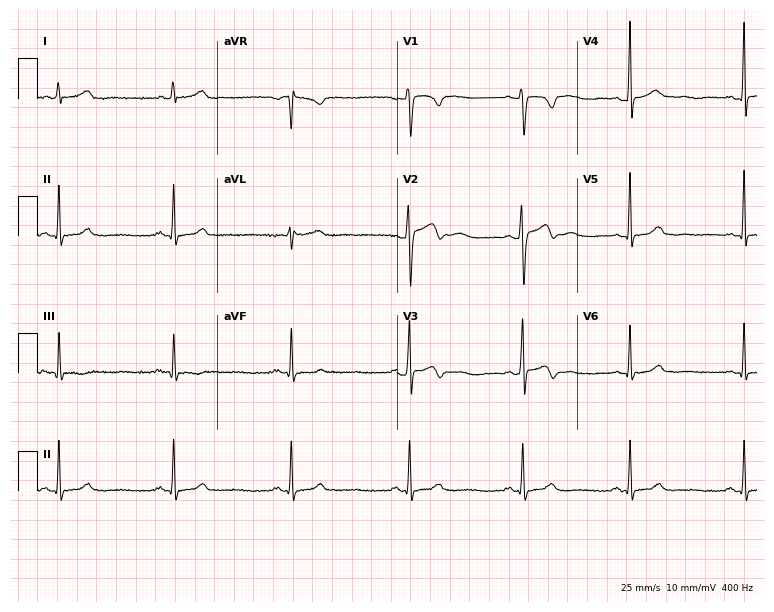
12-lead ECG from a male patient, 23 years old (7.3-second recording at 400 Hz). Recorded interpretation: within normal limits.